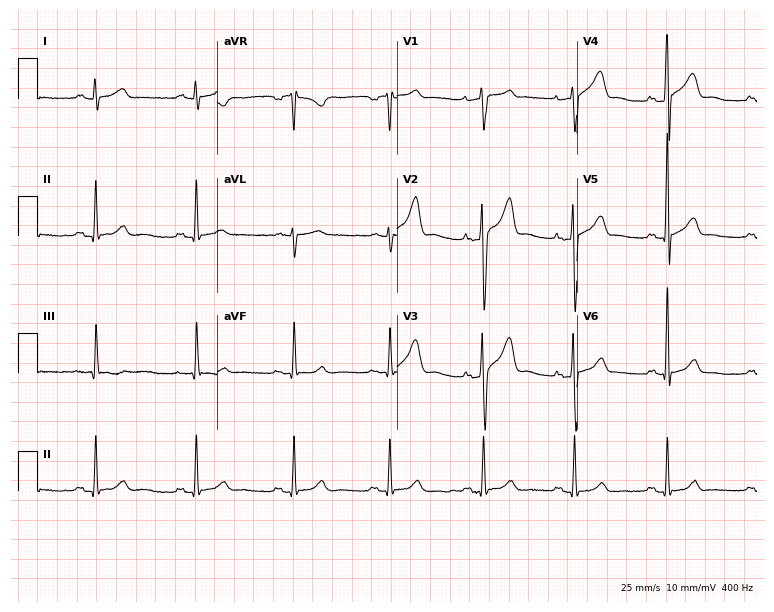
12-lead ECG (7.3-second recording at 400 Hz) from a male patient, 42 years old. Labelled as a normal ECG.